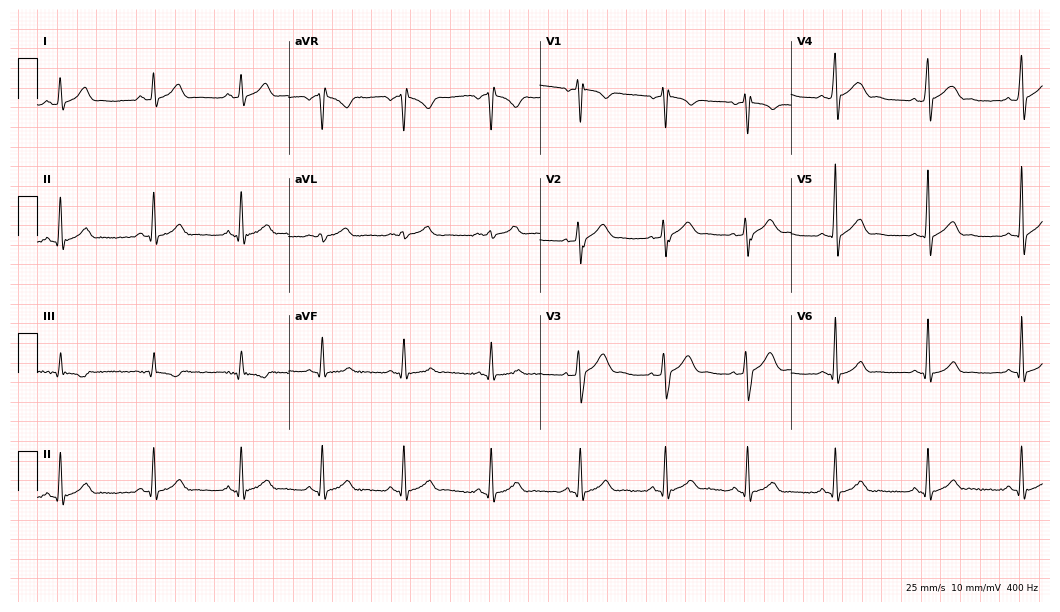
12-lead ECG from a 24-year-old male patient (10.2-second recording at 400 Hz). Recorded interpretation: within normal limits.